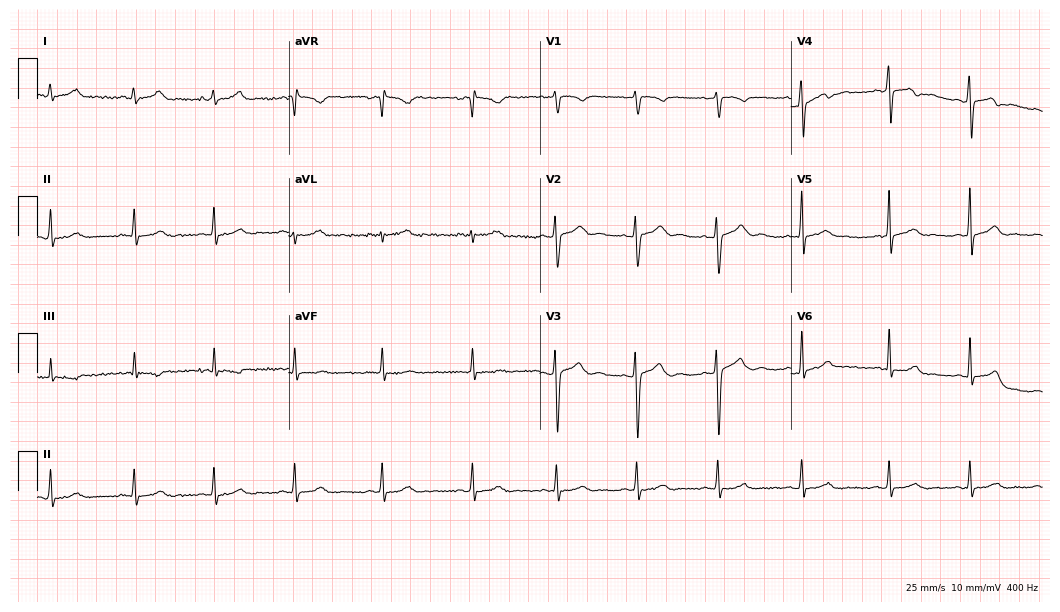
12-lead ECG from a woman, 17 years old. Recorded interpretation: within normal limits.